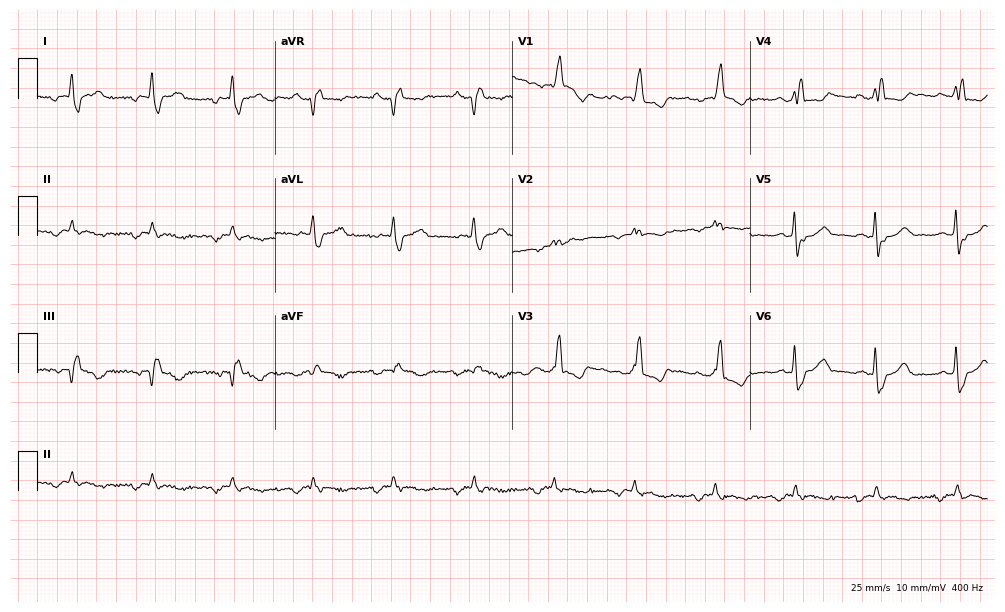
12-lead ECG from an 82-year-old man (9.7-second recording at 400 Hz). No first-degree AV block, right bundle branch block, left bundle branch block, sinus bradycardia, atrial fibrillation or sinus tachycardia recorded for this tracing. Only these six findings were labelled.